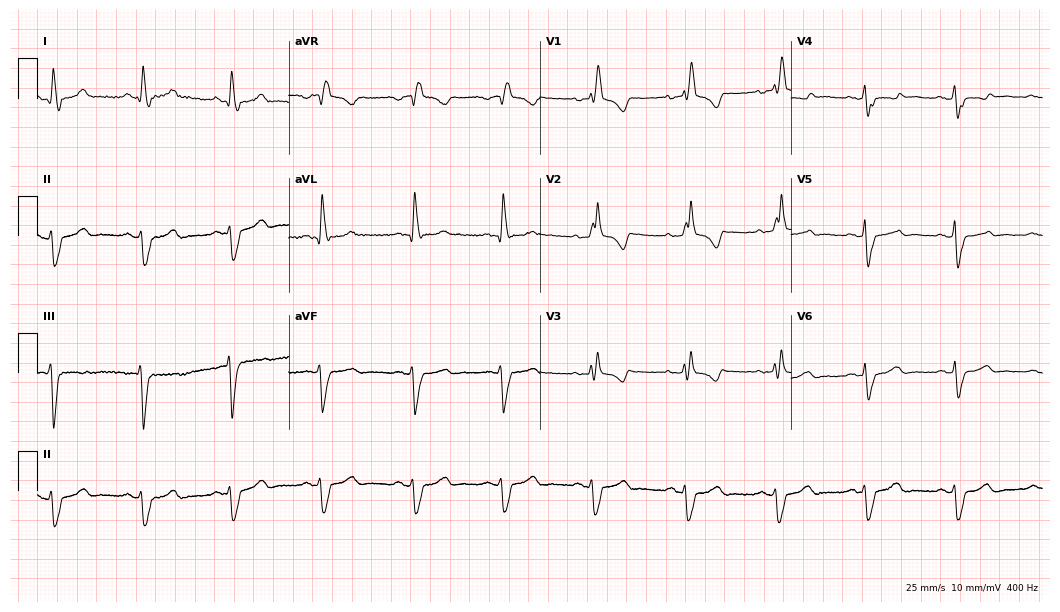
12-lead ECG from a woman, 43 years old. No first-degree AV block, right bundle branch block, left bundle branch block, sinus bradycardia, atrial fibrillation or sinus tachycardia recorded for this tracing.